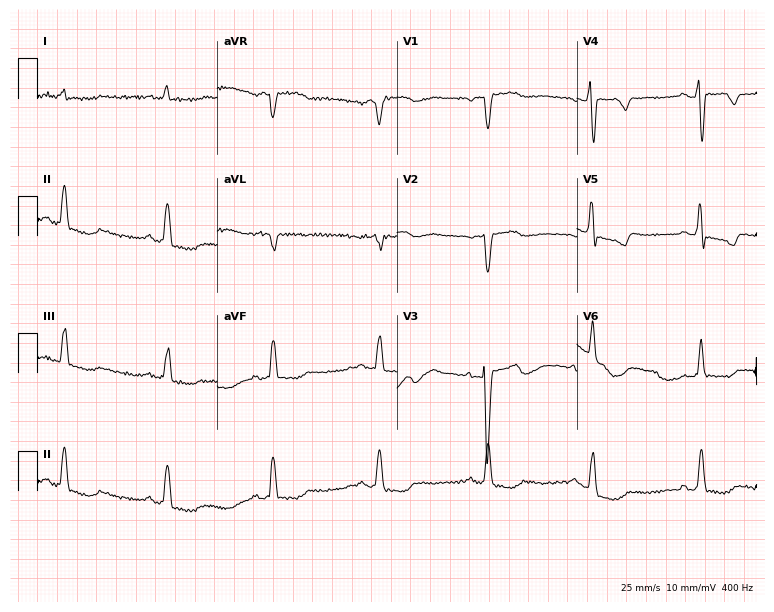
Standard 12-lead ECG recorded from a 71-year-old woman (7.3-second recording at 400 Hz). None of these six findings is recorded: first-degree AV block, right bundle branch block, left bundle branch block, sinus bradycardia, atrial fibrillation, sinus tachycardia. Other findings, if any, are not listed.